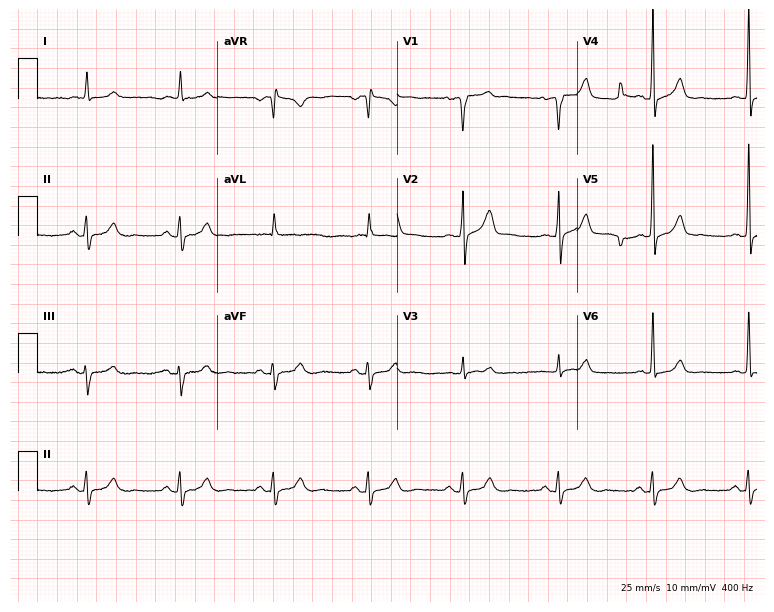
ECG — a man, 71 years old. Labelled as a normal ECG.